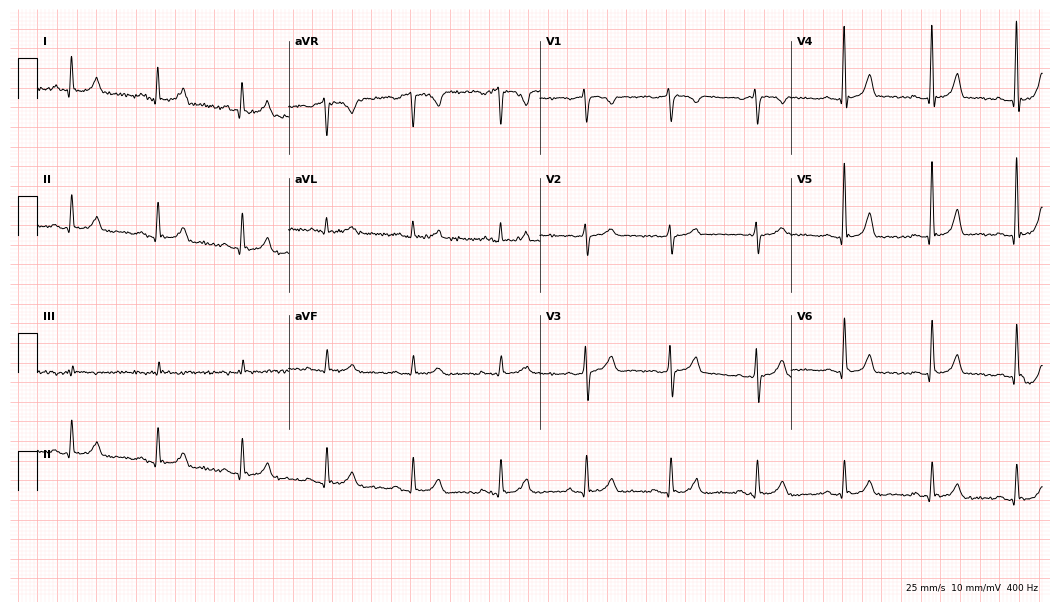
Standard 12-lead ECG recorded from a male, 42 years old (10.2-second recording at 400 Hz). Read as a normal ECG.